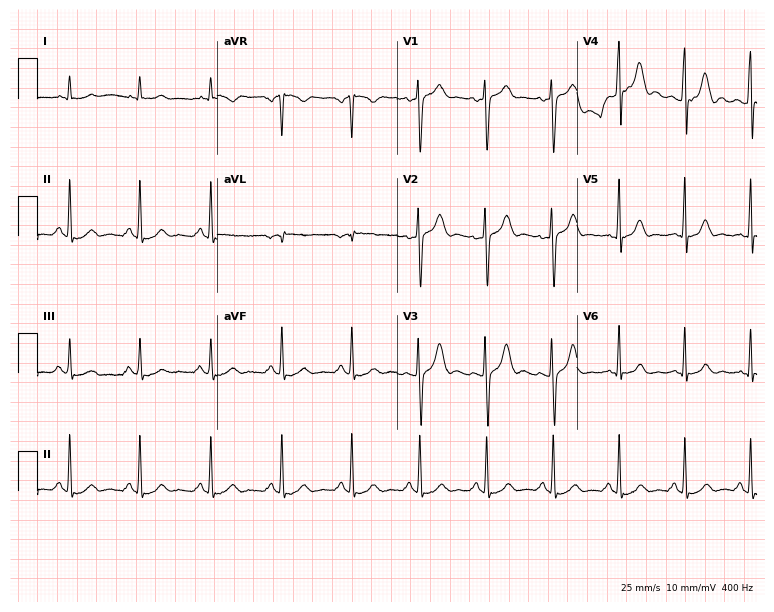
ECG — a 34-year-old male. Labelled as a normal ECG.